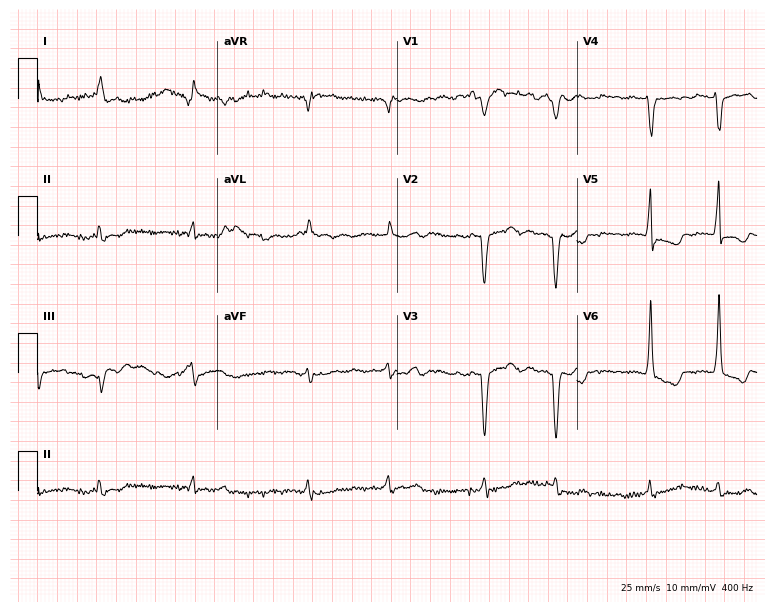
12-lead ECG from a woman, 83 years old. Shows atrial fibrillation (AF).